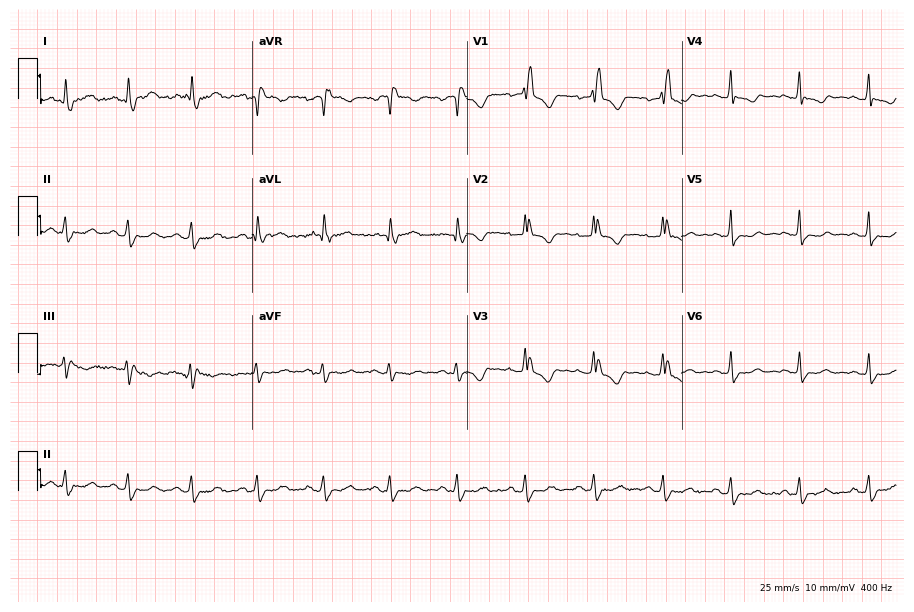
12-lead ECG from a 51-year-old female. Findings include right bundle branch block.